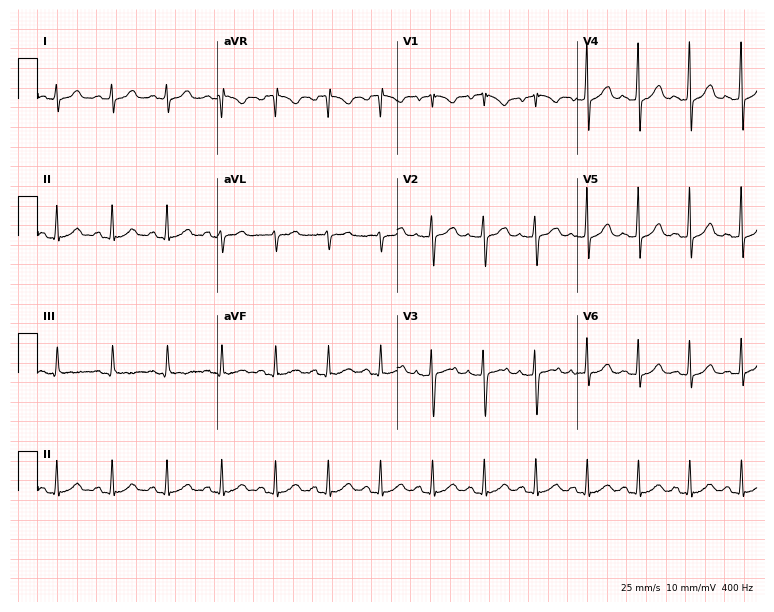
Standard 12-lead ECG recorded from a female patient, 36 years old. The tracing shows sinus tachycardia (a sinus rate of 100 beats per minute or more).